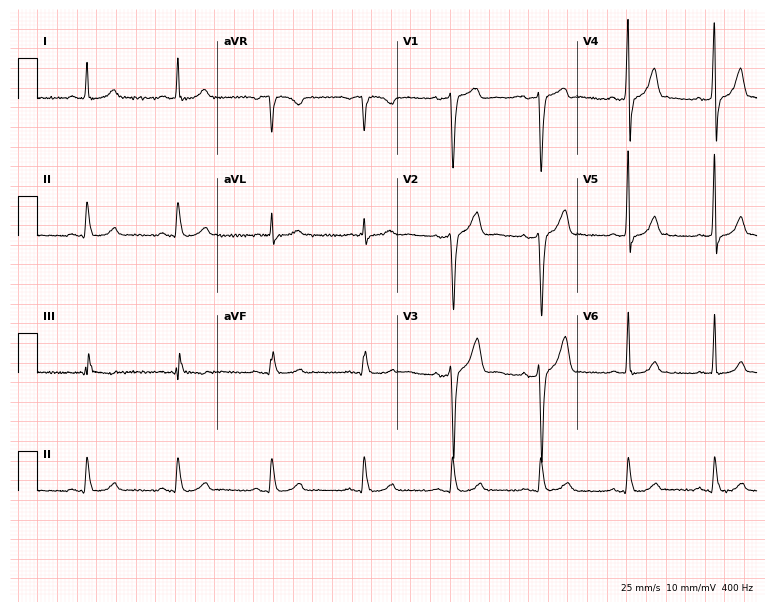
Electrocardiogram (7.3-second recording at 400 Hz), a 50-year-old male patient. Overall reading on record: normal ECG.